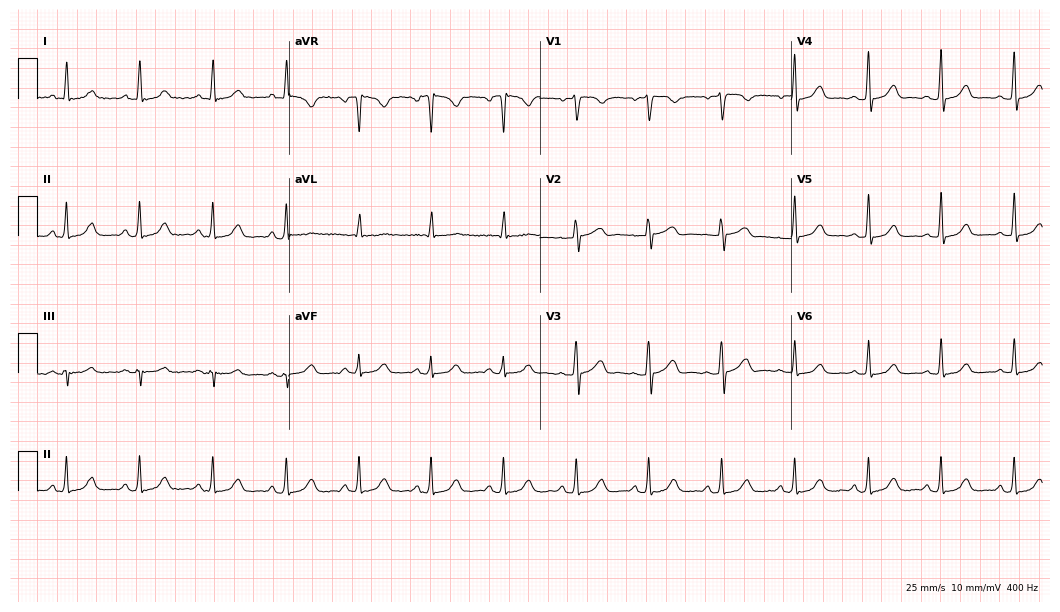
ECG — a 53-year-old female. Screened for six findings — first-degree AV block, right bundle branch block (RBBB), left bundle branch block (LBBB), sinus bradycardia, atrial fibrillation (AF), sinus tachycardia — none is recorded.